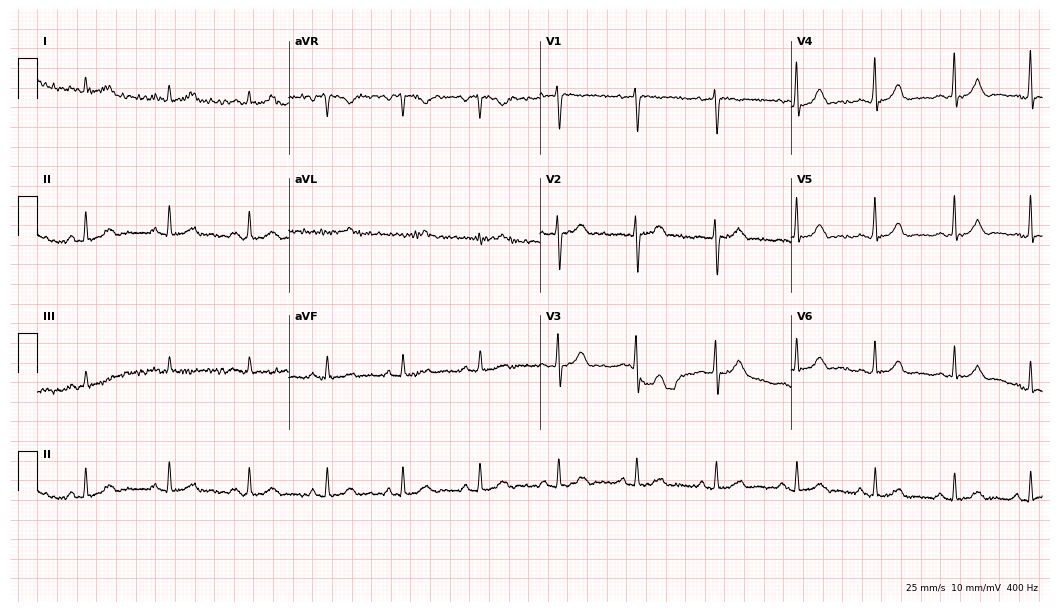
12-lead ECG from a 25-year-old female patient. Screened for six findings — first-degree AV block, right bundle branch block (RBBB), left bundle branch block (LBBB), sinus bradycardia, atrial fibrillation (AF), sinus tachycardia — none is recorded. Other findings, if any, are not listed.